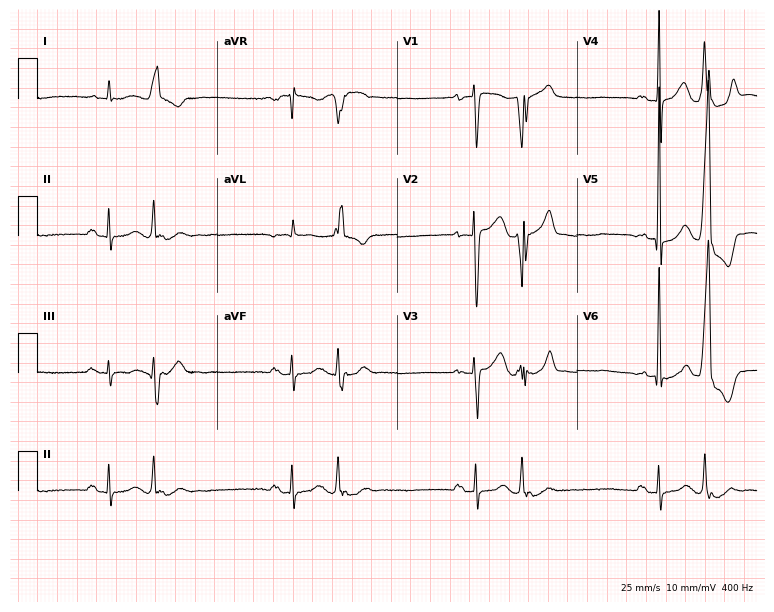
Resting 12-lead electrocardiogram (7.3-second recording at 400 Hz). Patient: an 85-year-old male. None of these six findings is recorded: first-degree AV block, right bundle branch block, left bundle branch block, sinus bradycardia, atrial fibrillation, sinus tachycardia.